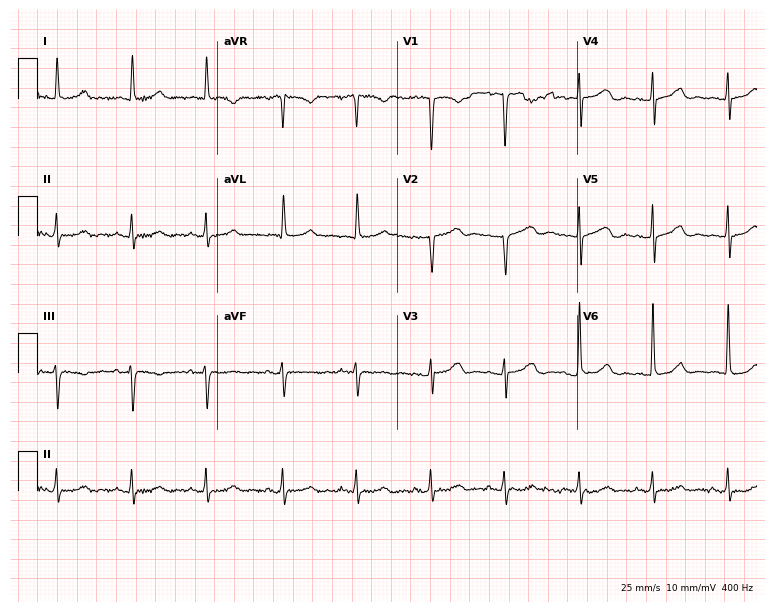
12-lead ECG (7.3-second recording at 400 Hz) from a female, 81 years old. Labelled as a normal ECG.